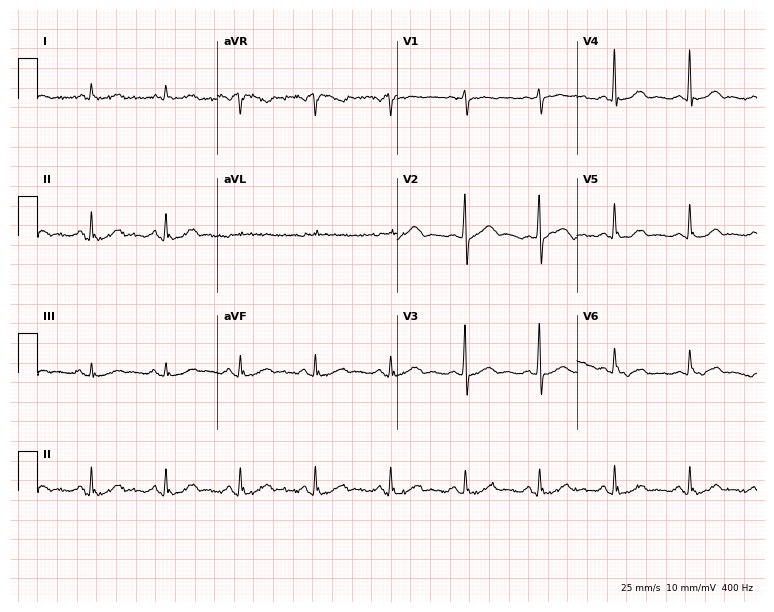
Standard 12-lead ECG recorded from an 82-year-old male. Read as a normal ECG.